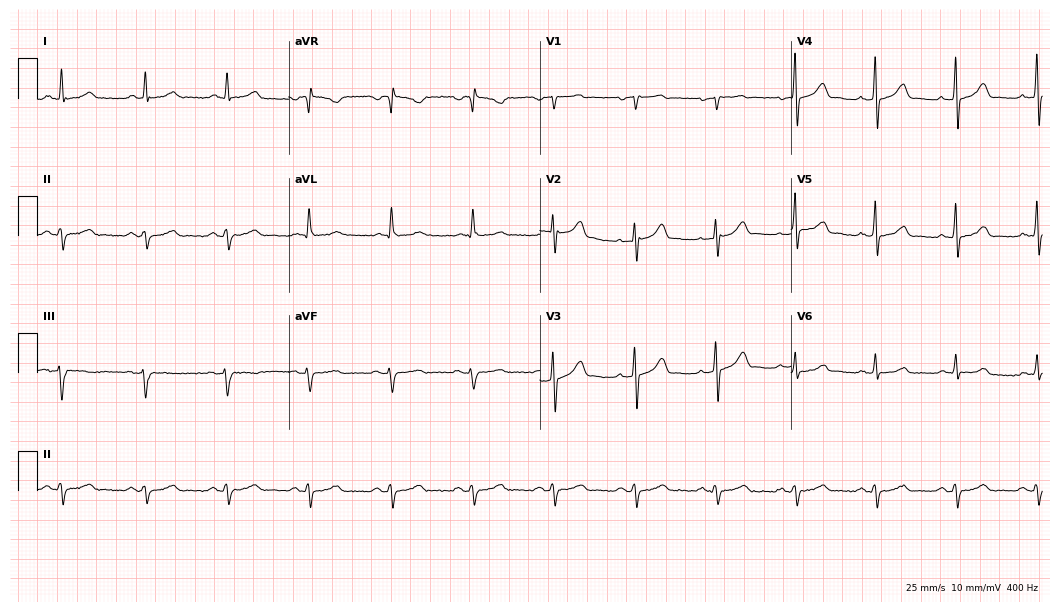
Resting 12-lead electrocardiogram (10.2-second recording at 400 Hz). Patient: a 66-year-old male. None of these six findings is recorded: first-degree AV block, right bundle branch block (RBBB), left bundle branch block (LBBB), sinus bradycardia, atrial fibrillation (AF), sinus tachycardia.